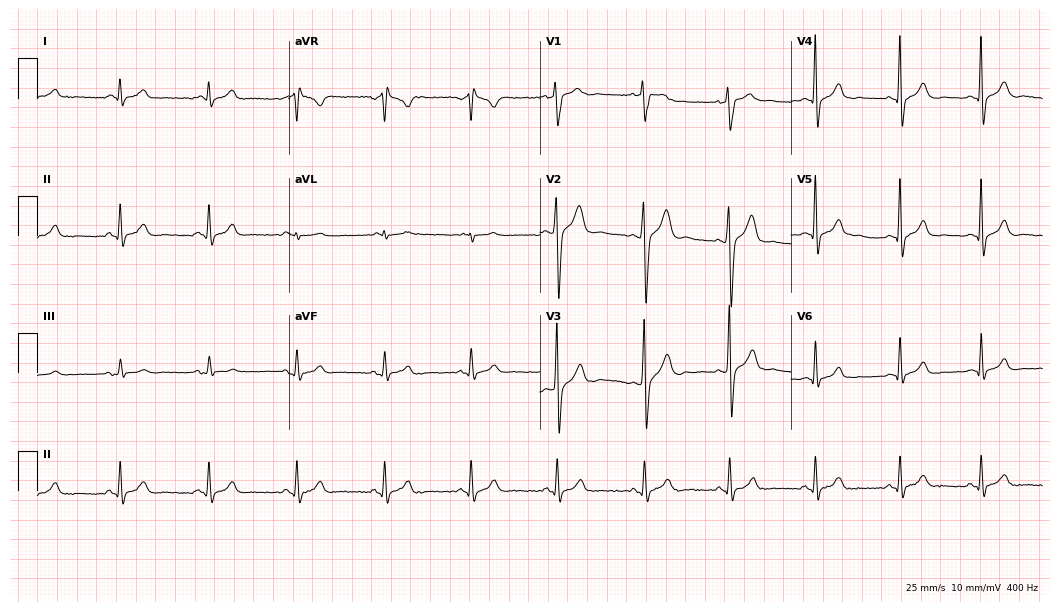
Electrocardiogram (10.2-second recording at 400 Hz), a male patient, 42 years old. Of the six screened findings (first-degree AV block, right bundle branch block, left bundle branch block, sinus bradycardia, atrial fibrillation, sinus tachycardia), none is recorded. Findings outside these six are not listed.